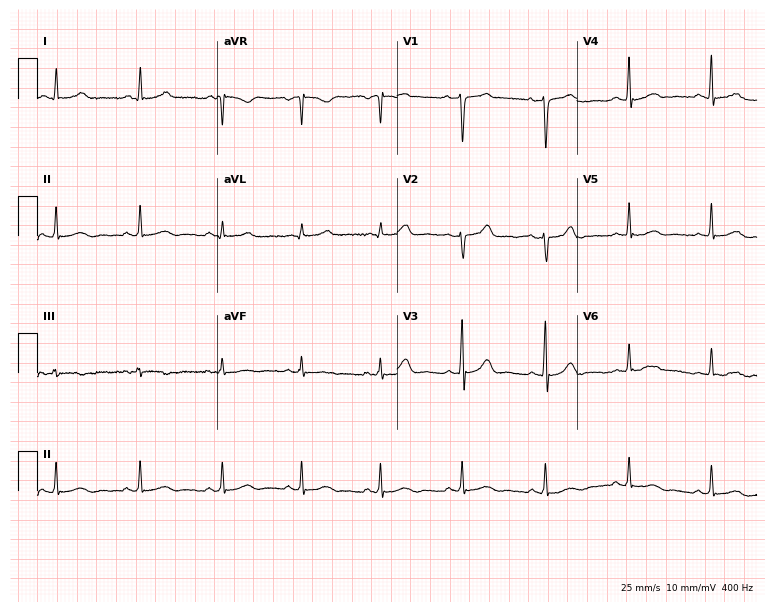
12-lead ECG from a female, 38 years old. No first-degree AV block, right bundle branch block, left bundle branch block, sinus bradycardia, atrial fibrillation or sinus tachycardia recorded for this tracing.